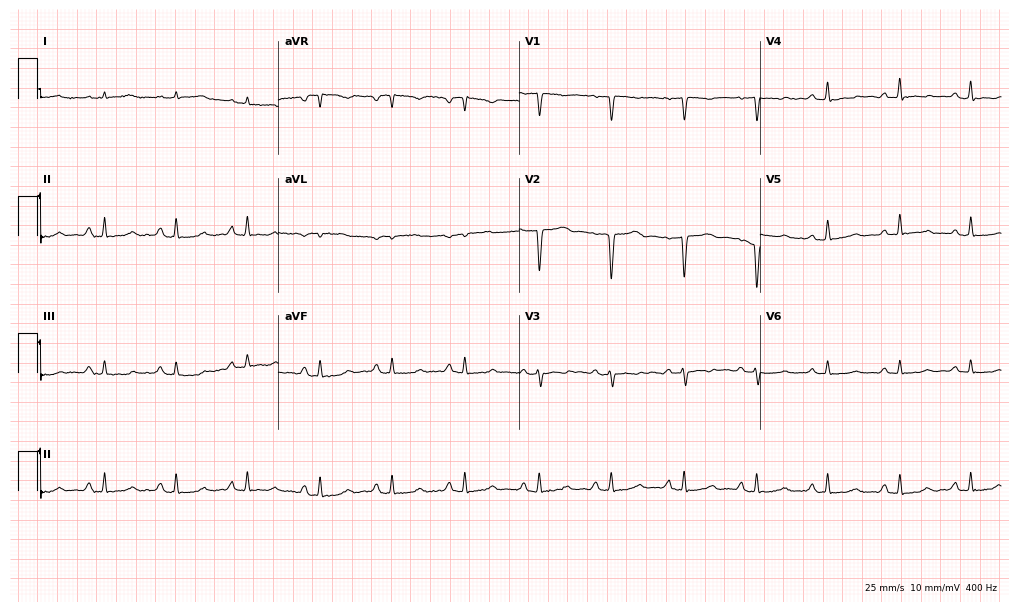
Electrocardiogram (9.8-second recording at 400 Hz), a female patient, 50 years old. Of the six screened findings (first-degree AV block, right bundle branch block, left bundle branch block, sinus bradycardia, atrial fibrillation, sinus tachycardia), none is recorded. Only these six findings were labelled.